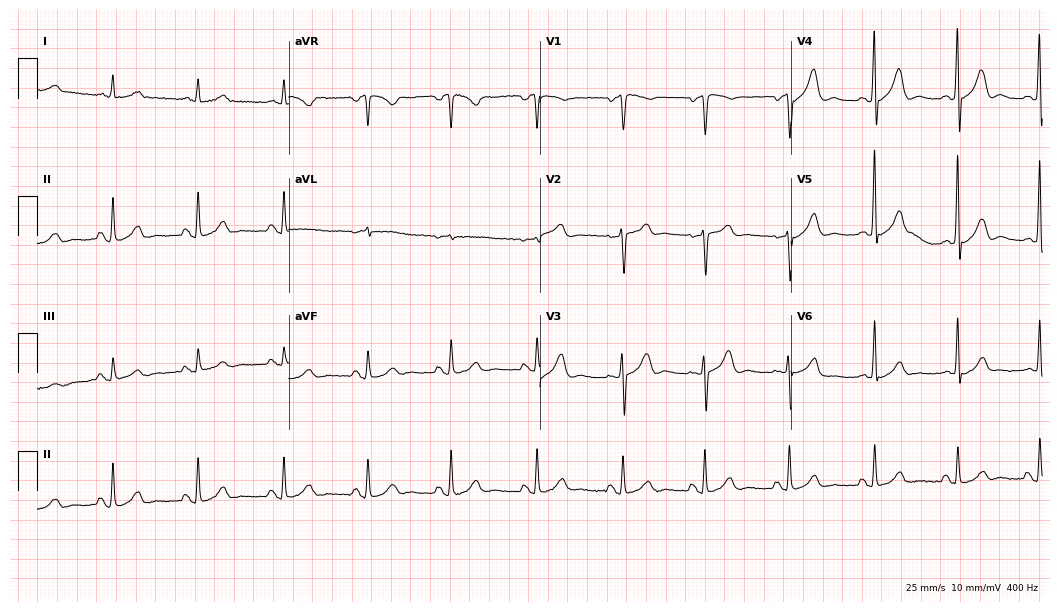
ECG — a woman, 78 years old. Screened for six findings — first-degree AV block, right bundle branch block, left bundle branch block, sinus bradycardia, atrial fibrillation, sinus tachycardia — none is recorded.